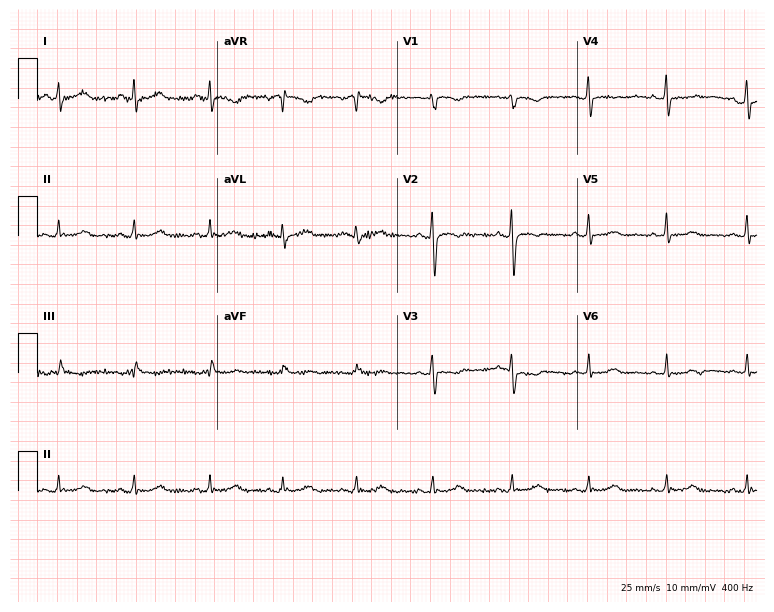
12-lead ECG from a female, 34 years old (7.3-second recording at 400 Hz). No first-degree AV block, right bundle branch block, left bundle branch block, sinus bradycardia, atrial fibrillation or sinus tachycardia recorded for this tracing.